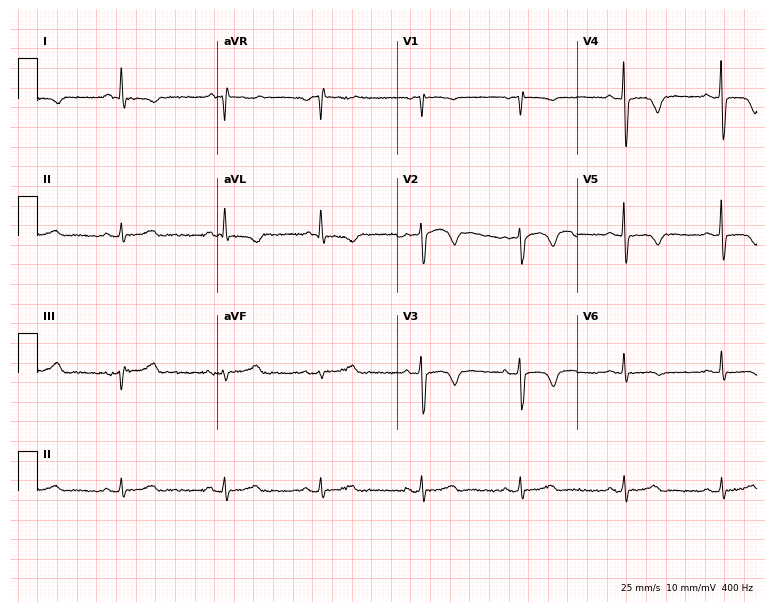
12-lead ECG from a female, 76 years old (7.3-second recording at 400 Hz). No first-degree AV block, right bundle branch block (RBBB), left bundle branch block (LBBB), sinus bradycardia, atrial fibrillation (AF) or sinus tachycardia recorded for this tracing.